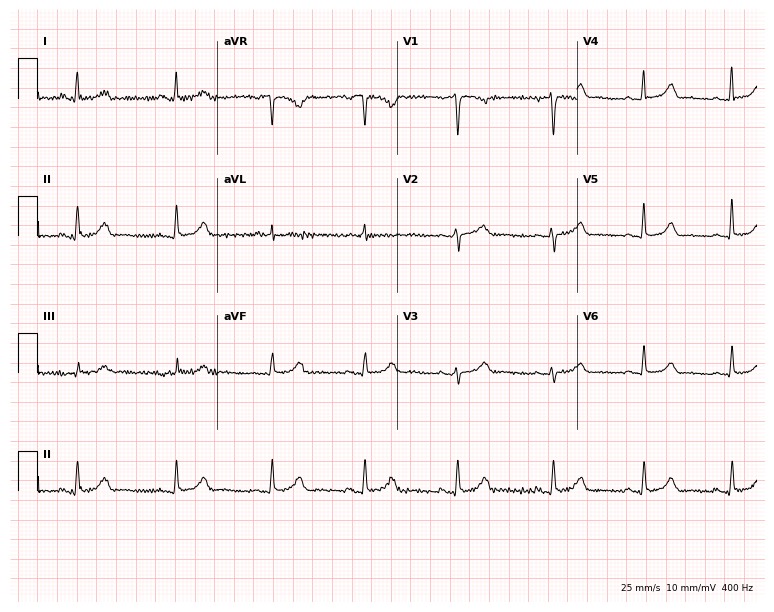
Electrocardiogram (7.3-second recording at 400 Hz), a woman, 47 years old. Overall reading on record: normal ECG.